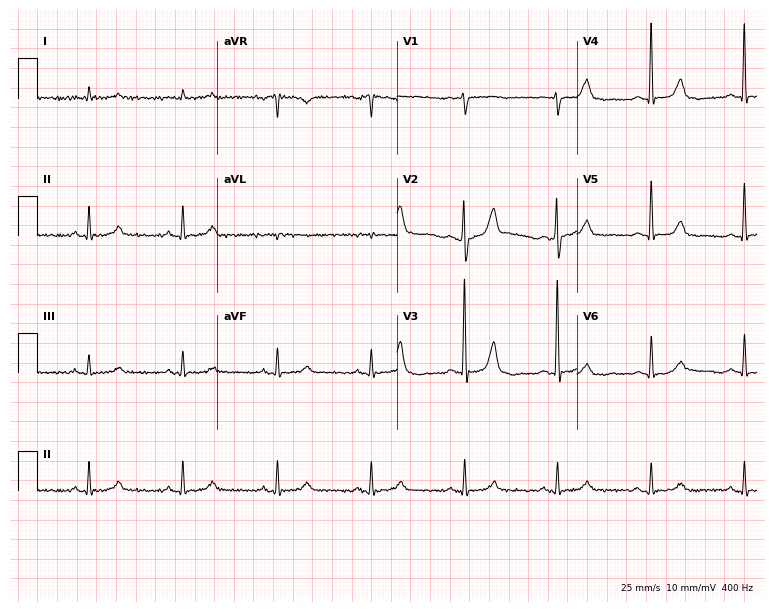
12-lead ECG from a 79-year-old female. No first-degree AV block, right bundle branch block, left bundle branch block, sinus bradycardia, atrial fibrillation or sinus tachycardia recorded for this tracing.